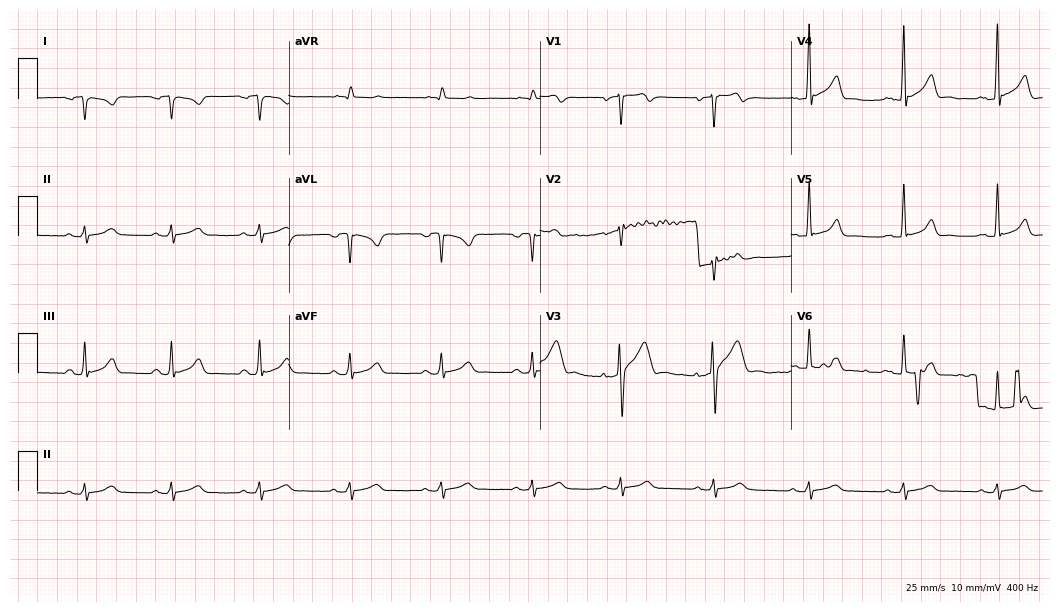
Electrocardiogram (10.2-second recording at 400 Hz), a 28-year-old male. Of the six screened findings (first-degree AV block, right bundle branch block, left bundle branch block, sinus bradycardia, atrial fibrillation, sinus tachycardia), none is recorded.